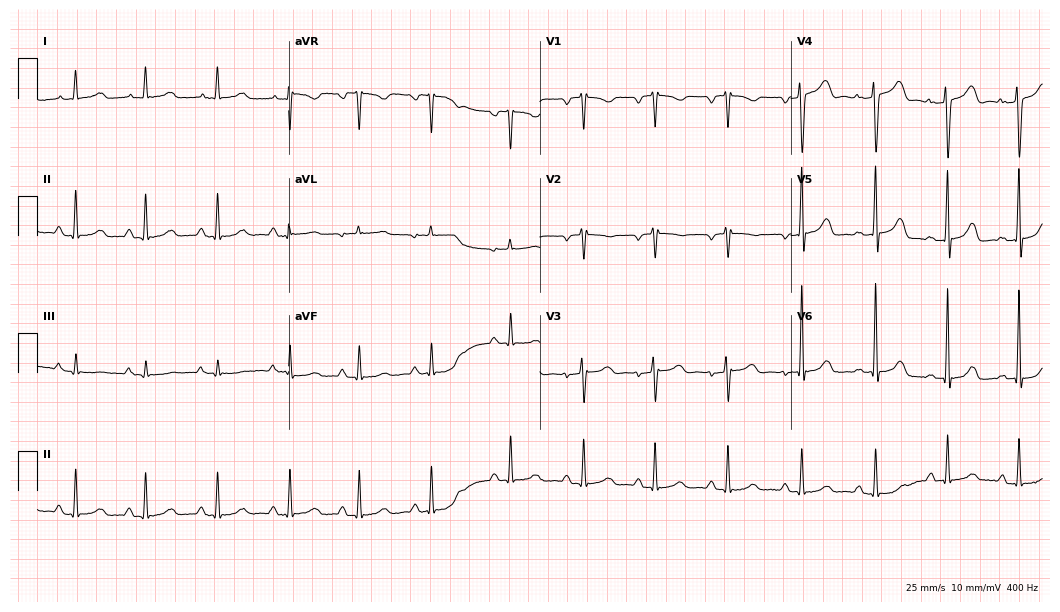
12-lead ECG from a 39-year-old female (10.2-second recording at 400 Hz). No first-degree AV block, right bundle branch block (RBBB), left bundle branch block (LBBB), sinus bradycardia, atrial fibrillation (AF) or sinus tachycardia recorded for this tracing. Findings outside these six are not listed.